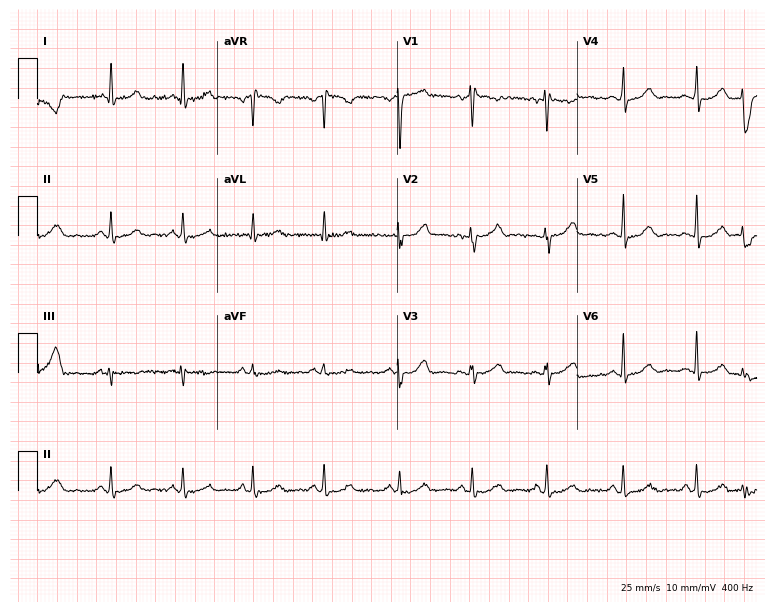
ECG (7.3-second recording at 400 Hz) — a 41-year-old woman. Labelled as a normal ECG.